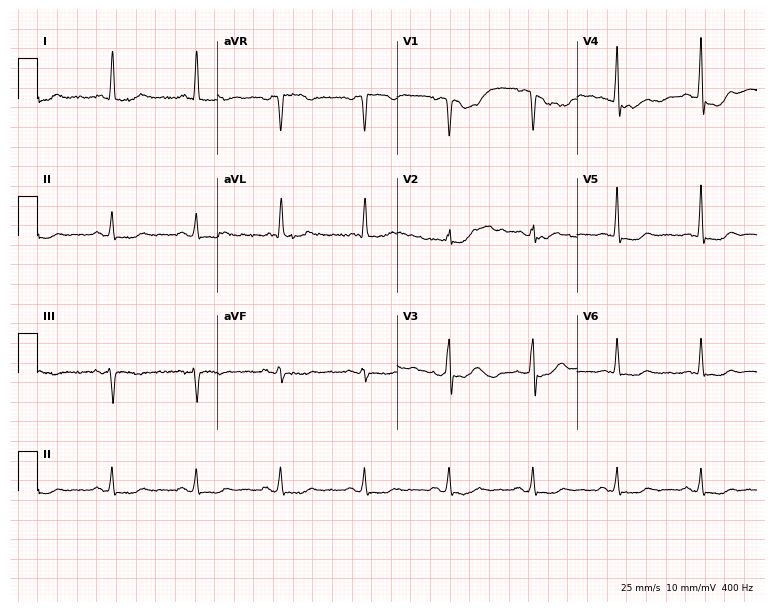
Standard 12-lead ECG recorded from a 60-year-old man. None of these six findings is recorded: first-degree AV block, right bundle branch block, left bundle branch block, sinus bradycardia, atrial fibrillation, sinus tachycardia. Only these six findings were labelled.